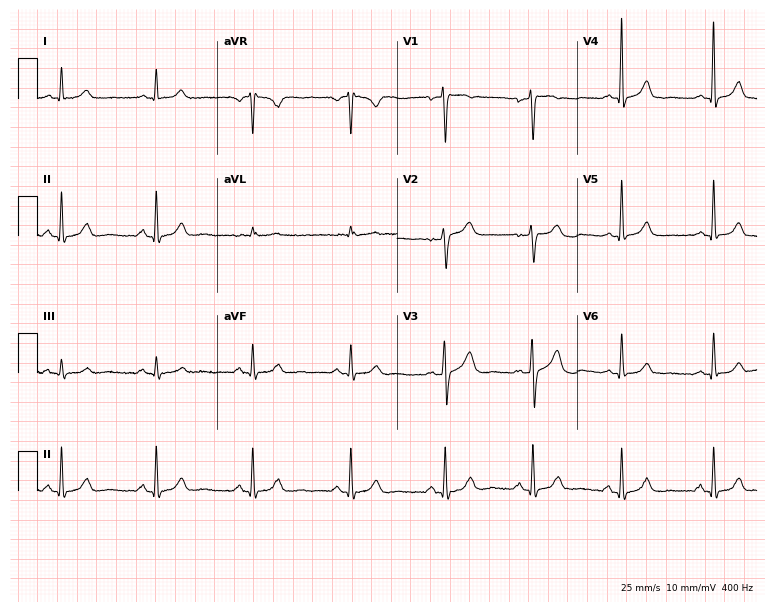
ECG — a 36-year-old woman. Labelled as a normal ECG.